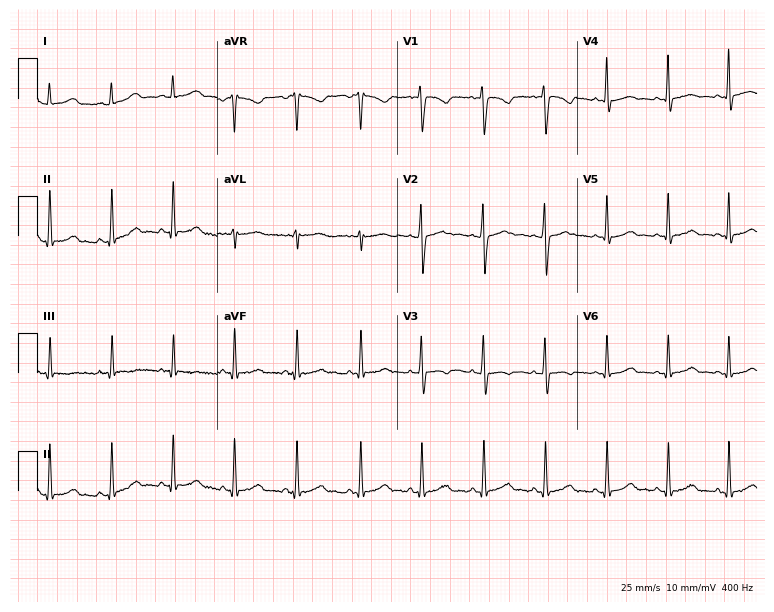
12-lead ECG from a female, 21 years old. Recorded interpretation: within normal limits.